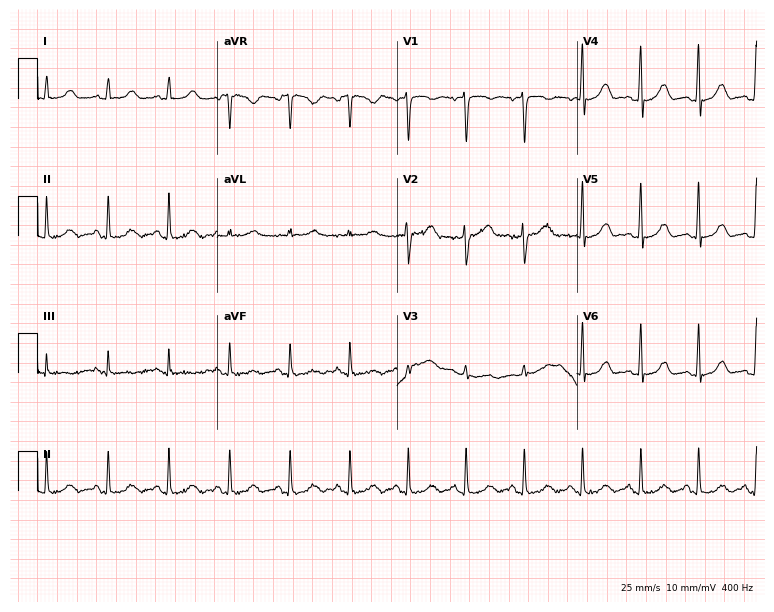
Electrocardiogram, a 32-year-old woman. Of the six screened findings (first-degree AV block, right bundle branch block, left bundle branch block, sinus bradycardia, atrial fibrillation, sinus tachycardia), none is recorded. Findings outside these six are not listed.